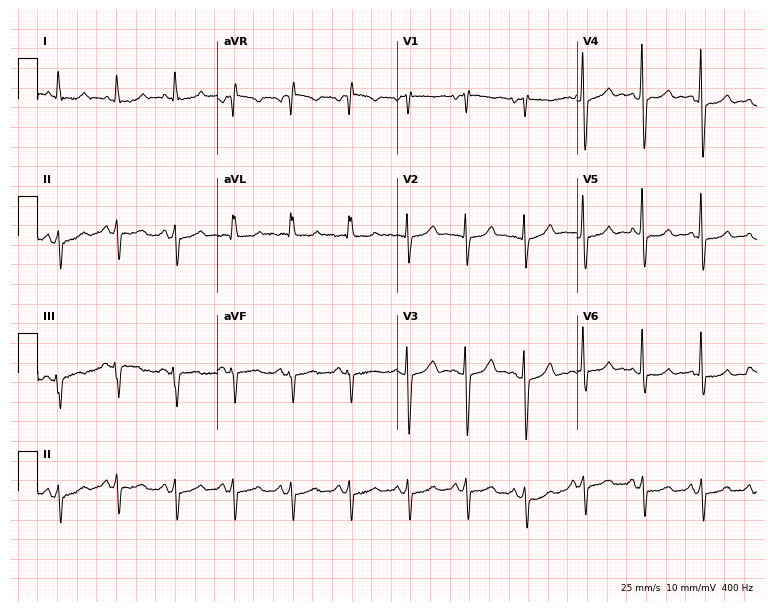
12-lead ECG from a woman, 68 years old. Shows sinus tachycardia (a sinus rate of 100 beats per minute or more).